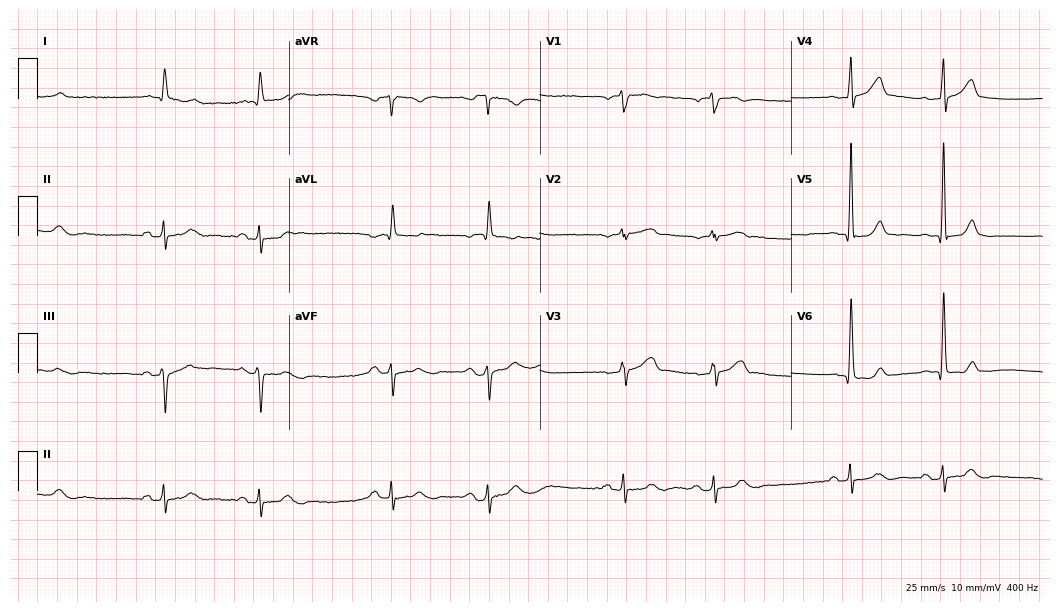
ECG — a 77-year-old male patient. Labelled as a normal ECG.